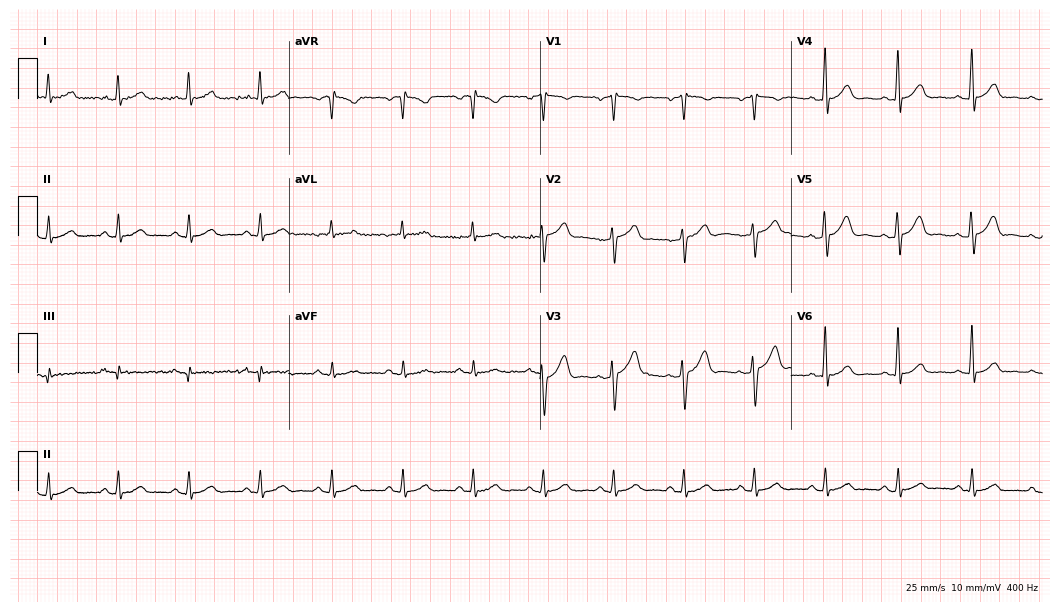
12-lead ECG from a male, 63 years old. Recorded interpretation: within normal limits.